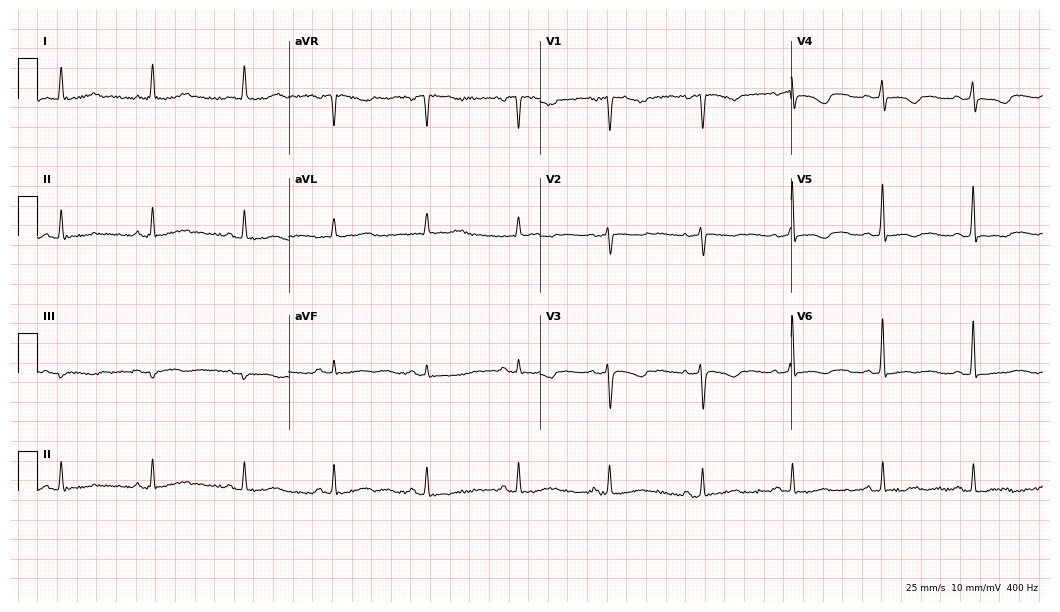
Standard 12-lead ECG recorded from a female patient, 53 years old (10.2-second recording at 400 Hz). Read as a normal ECG.